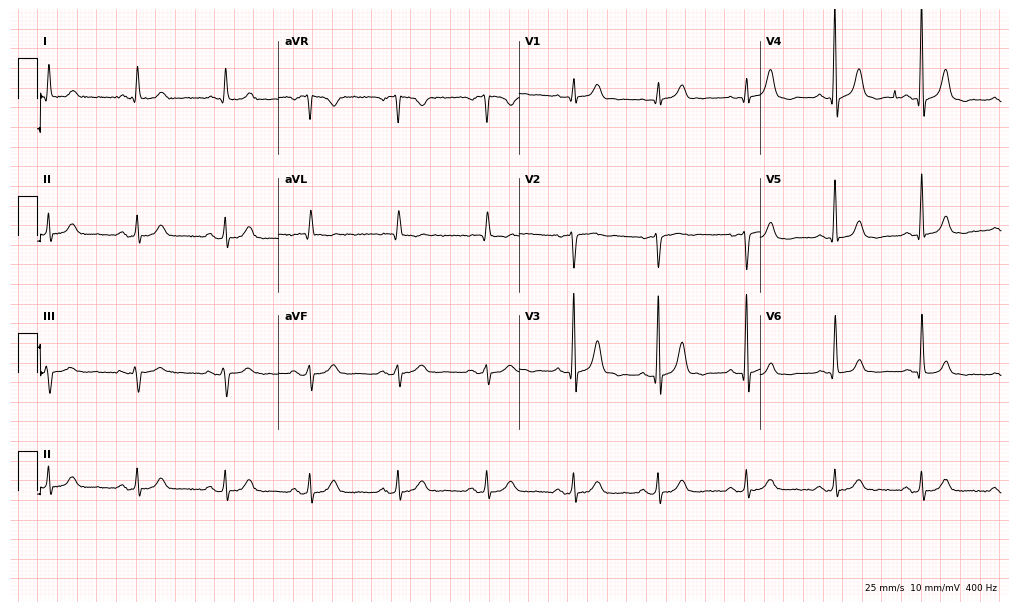
12-lead ECG (9.8-second recording at 400 Hz) from an 80-year-old male patient. Screened for six findings — first-degree AV block, right bundle branch block, left bundle branch block, sinus bradycardia, atrial fibrillation, sinus tachycardia — none is recorded. Findings outside these six are not listed.